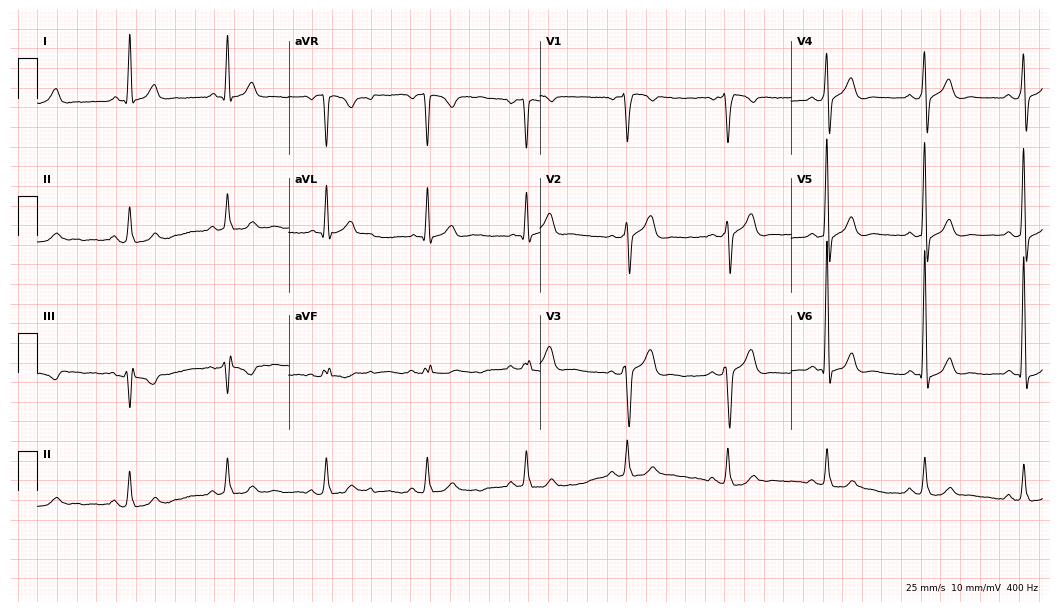
12-lead ECG (10.2-second recording at 400 Hz) from a man, 56 years old. Screened for six findings — first-degree AV block, right bundle branch block, left bundle branch block, sinus bradycardia, atrial fibrillation, sinus tachycardia — none is recorded. Findings outside these six are not listed.